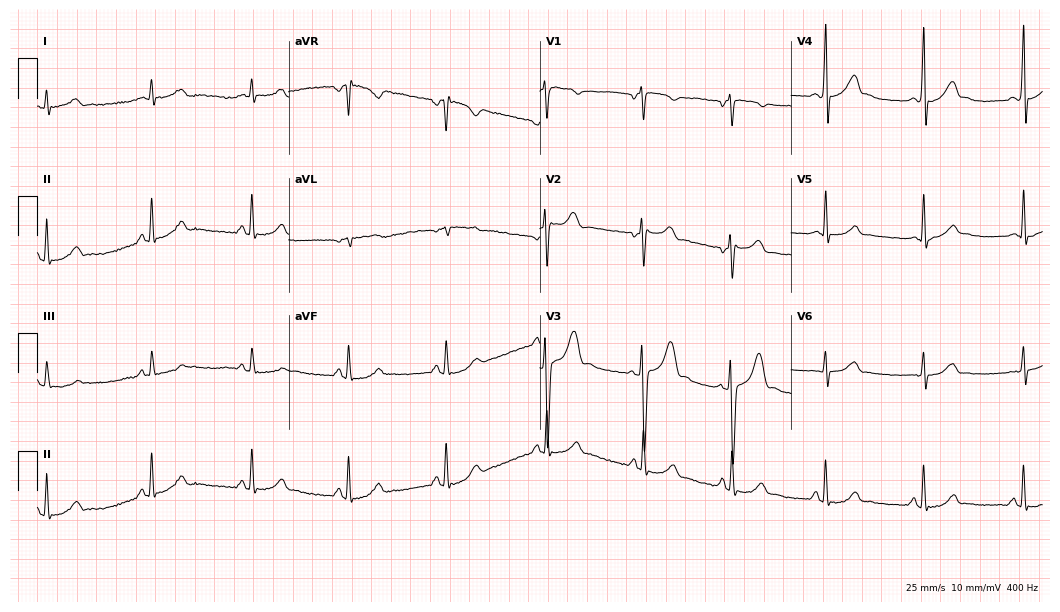
12-lead ECG from a male, 26 years old. Recorded interpretation: within normal limits.